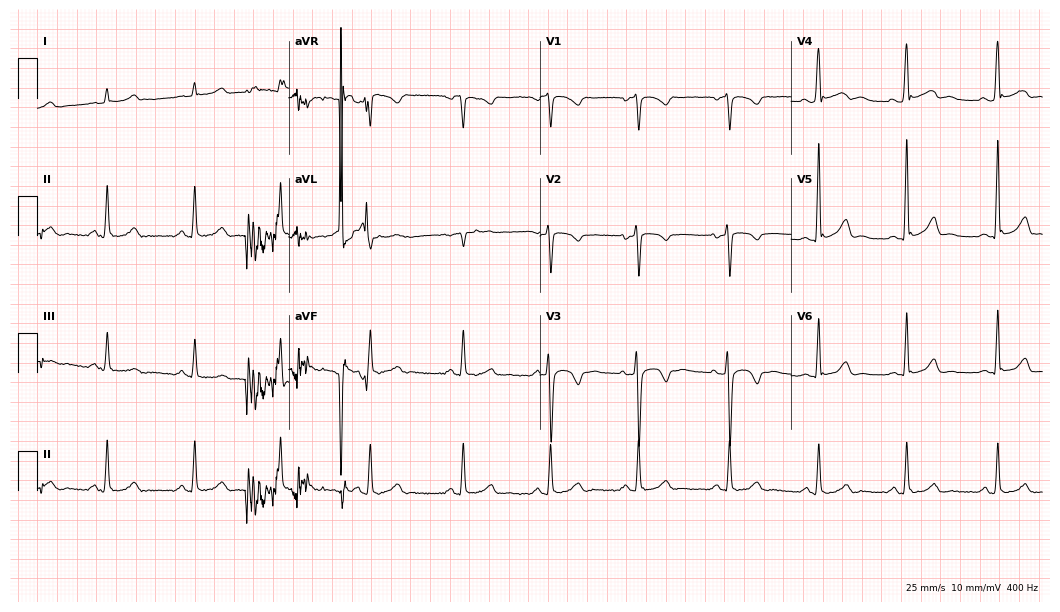
Electrocardiogram (10.2-second recording at 400 Hz), a female, 28 years old. Of the six screened findings (first-degree AV block, right bundle branch block (RBBB), left bundle branch block (LBBB), sinus bradycardia, atrial fibrillation (AF), sinus tachycardia), none is recorded.